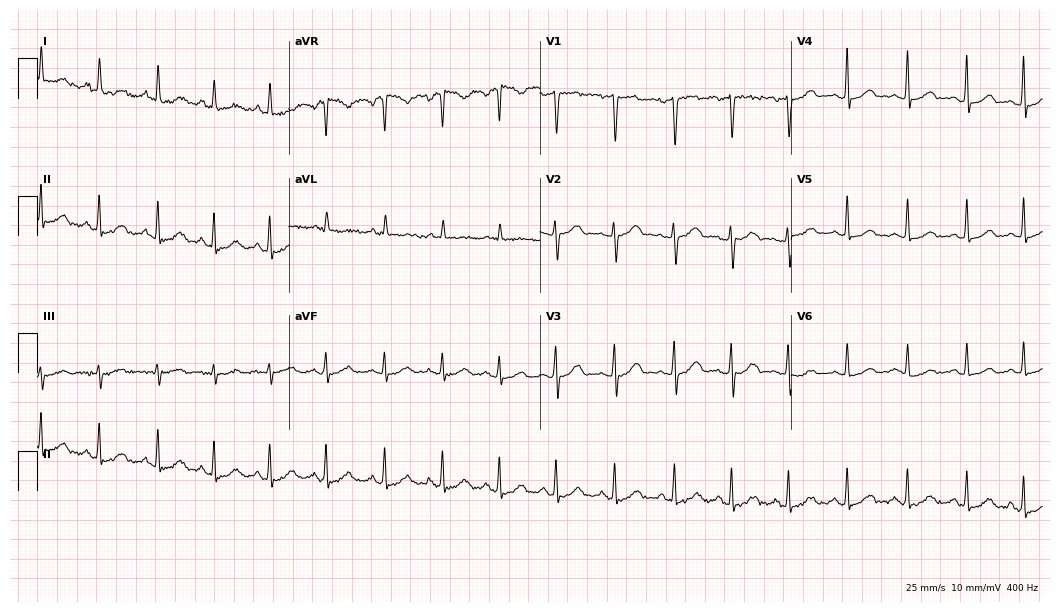
12-lead ECG from a 33-year-old man. Shows sinus tachycardia (a sinus rate of 100 beats per minute or more).